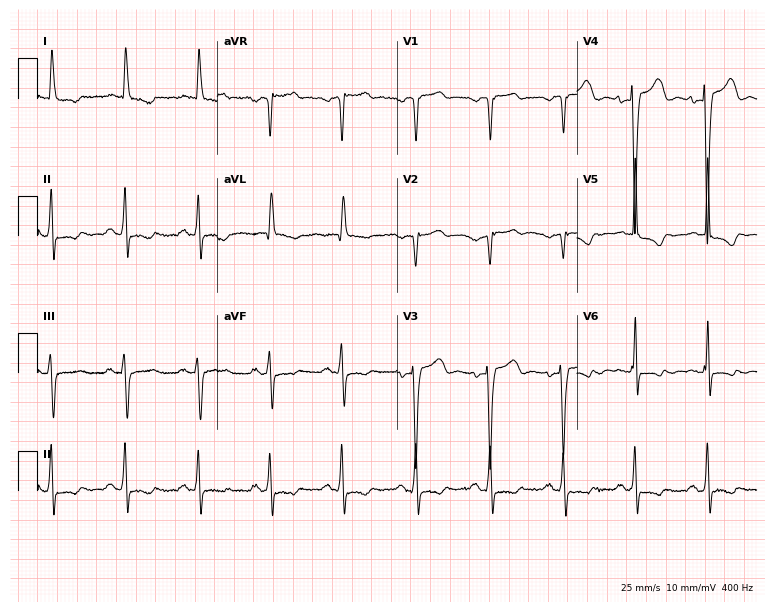
Resting 12-lead electrocardiogram (7.3-second recording at 400 Hz). Patient: a 72-year-old female. None of these six findings is recorded: first-degree AV block, right bundle branch block (RBBB), left bundle branch block (LBBB), sinus bradycardia, atrial fibrillation (AF), sinus tachycardia. Findings outside these six are not listed.